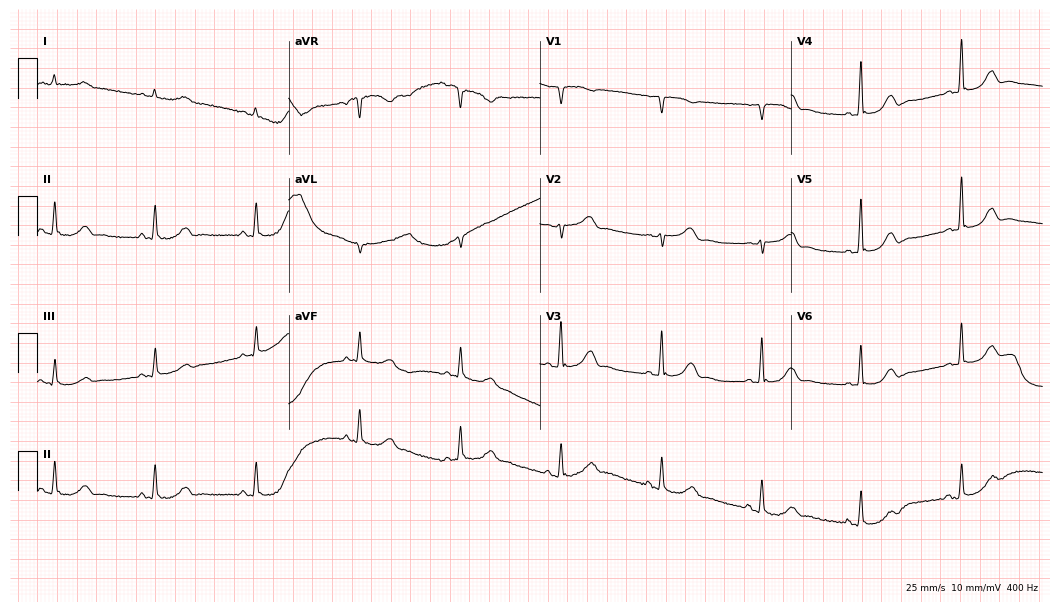
ECG — a female patient, 61 years old. Screened for six findings — first-degree AV block, right bundle branch block, left bundle branch block, sinus bradycardia, atrial fibrillation, sinus tachycardia — none is recorded. Only these six findings were labelled.